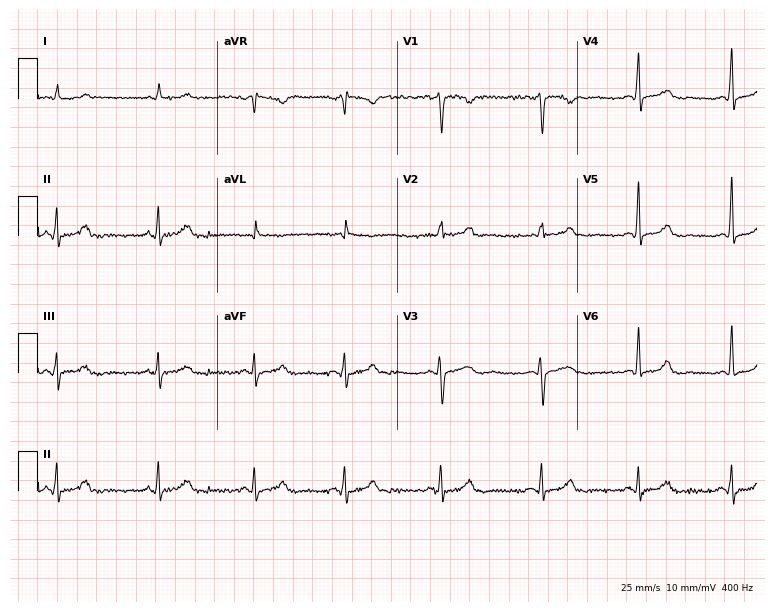
12-lead ECG from a female, 42 years old. Labelled as a normal ECG.